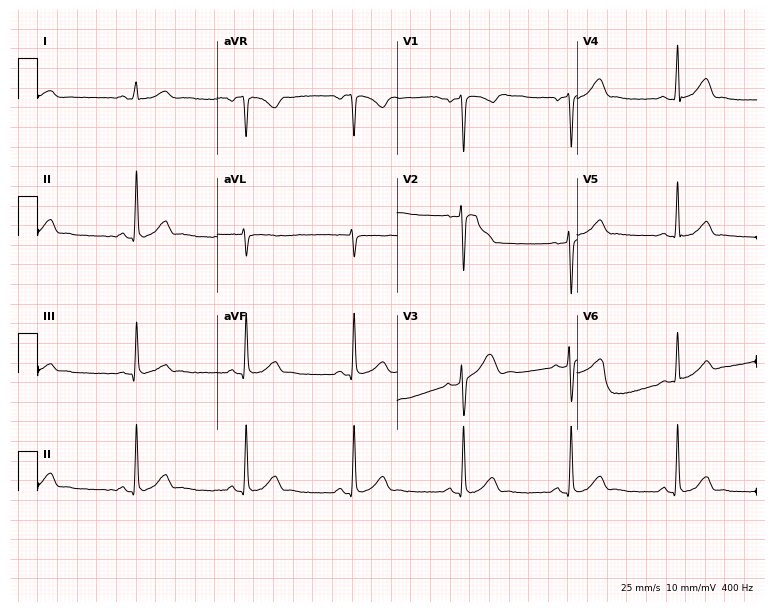
ECG (7.3-second recording at 400 Hz) — a 26-year-old male patient. Screened for six findings — first-degree AV block, right bundle branch block (RBBB), left bundle branch block (LBBB), sinus bradycardia, atrial fibrillation (AF), sinus tachycardia — none is recorded.